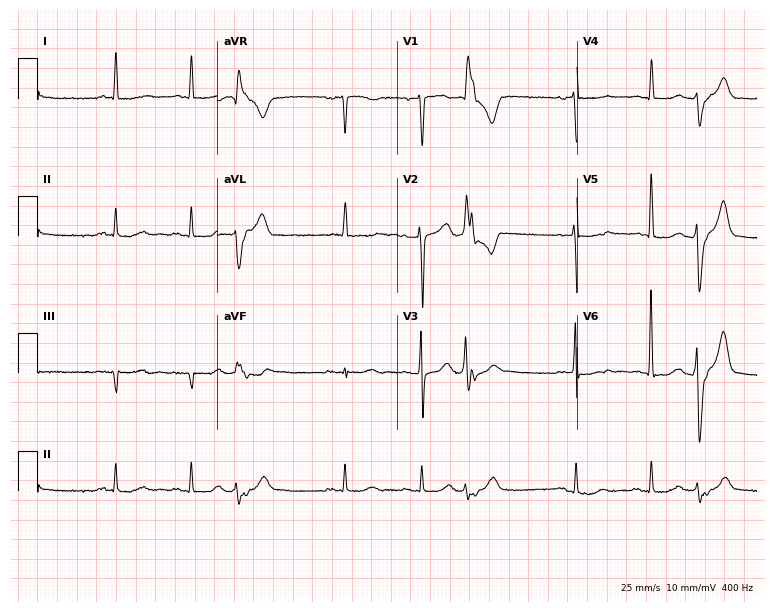
Resting 12-lead electrocardiogram (7.3-second recording at 400 Hz). Patient: an 84-year-old female. None of these six findings is recorded: first-degree AV block, right bundle branch block (RBBB), left bundle branch block (LBBB), sinus bradycardia, atrial fibrillation (AF), sinus tachycardia. Only these six findings were labelled.